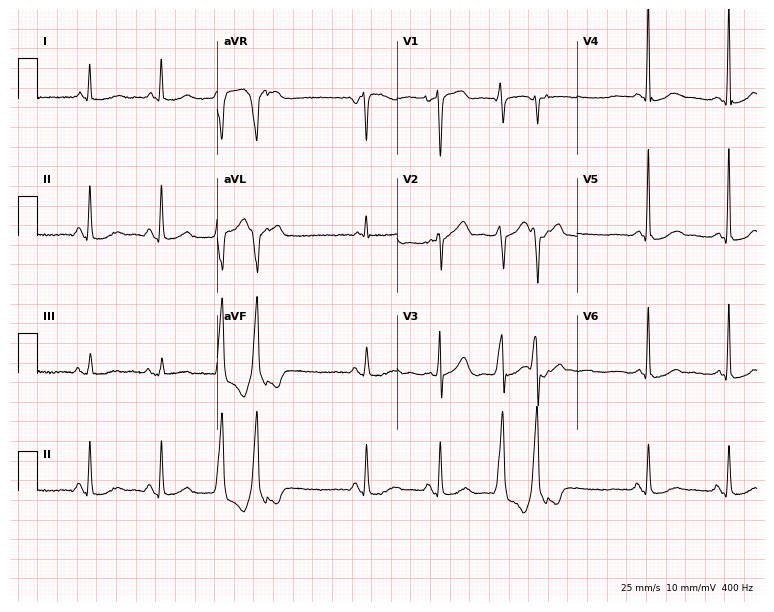
Resting 12-lead electrocardiogram. Patient: a female, 81 years old. None of these six findings is recorded: first-degree AV block, right bundle branch block, left bundle branch block, sinus bradycardia, atrial fibrillation, sinus tachycardia.